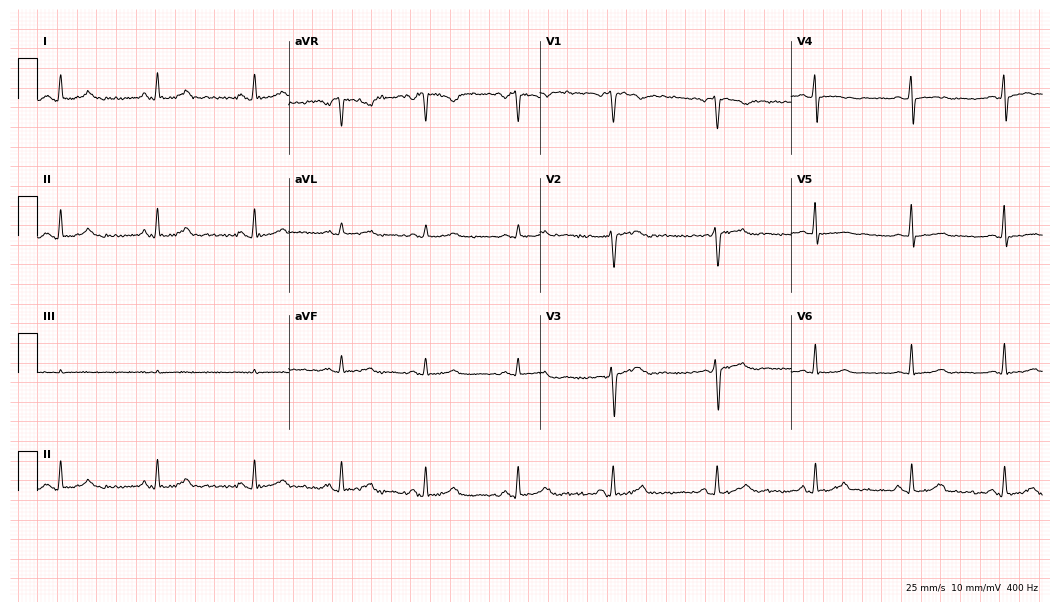
Electrocardiogram (10.2-second recording at 400 Hz), a 39-year-old woman. Overall reading on record: normal ECG.